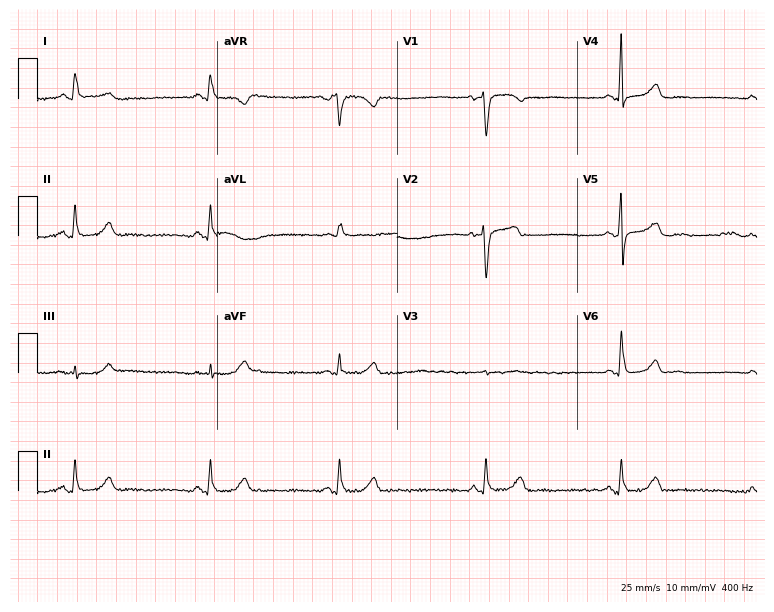
Standard 12-lead ECG recorded from a 61-year-old female (7.3-second recording at 400 Hz). The tracing shows sinus bradycardia (a sinus rate of 50 beats per minute or less).